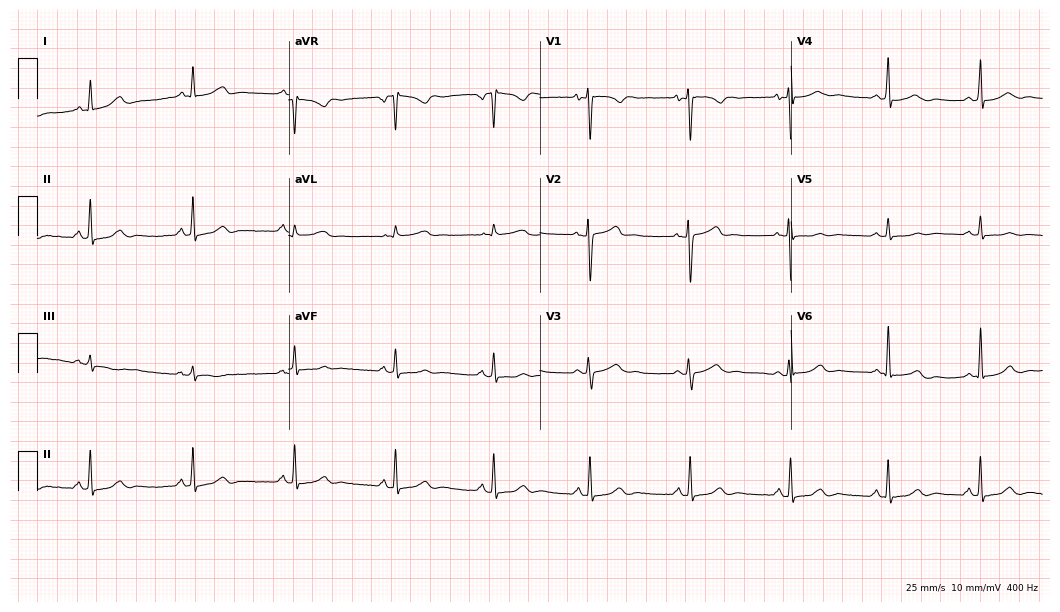
Standard 12-lead ECG recorded from a woman, 43 years old. Read as a normal ECG.